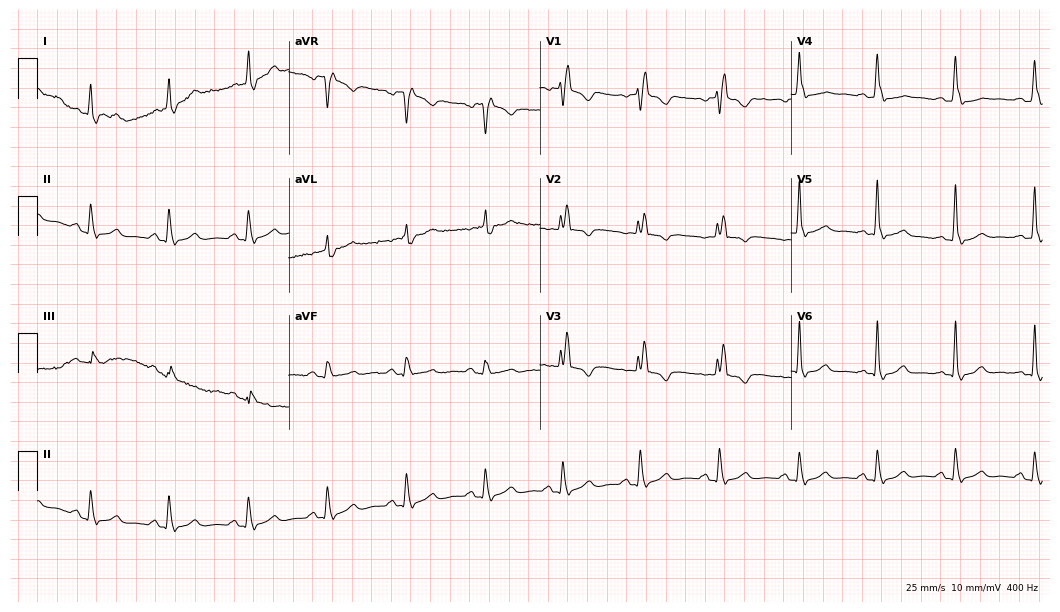
Electrocardiogram (10.2-second recording at 400 Hz), a female, 52 years old. Interpretation includes right bundle branch block (RBBB).